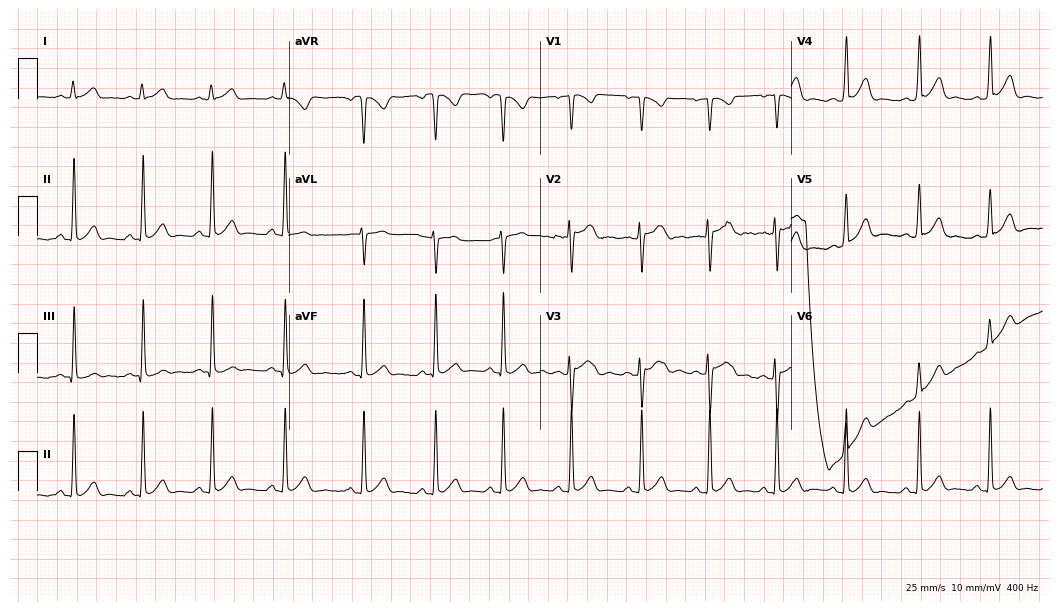
Standard 12-lead ECG recorded from a woman, 19 years old. Read as a normal ECG.